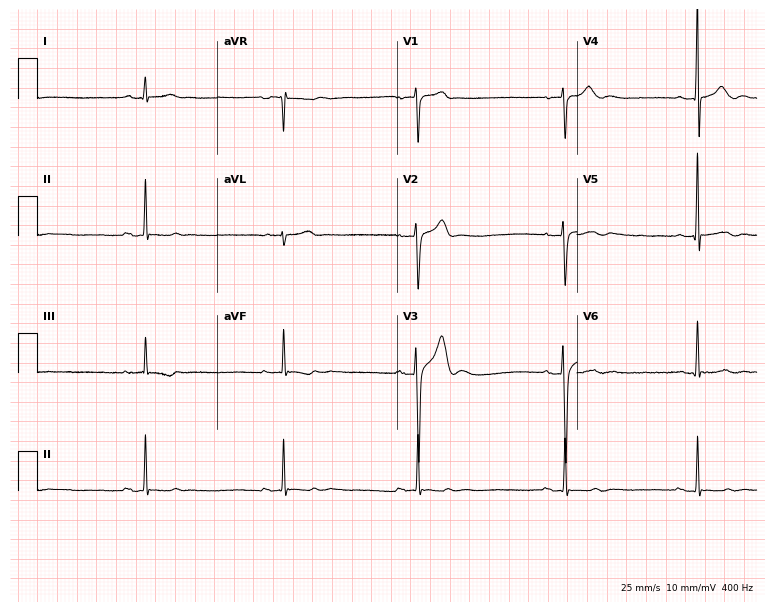
Electrocardiogram, a 32-year-old male patient. Interpretation includes sinus bradycardia (a sinus rate of 50 beats per minute or less).